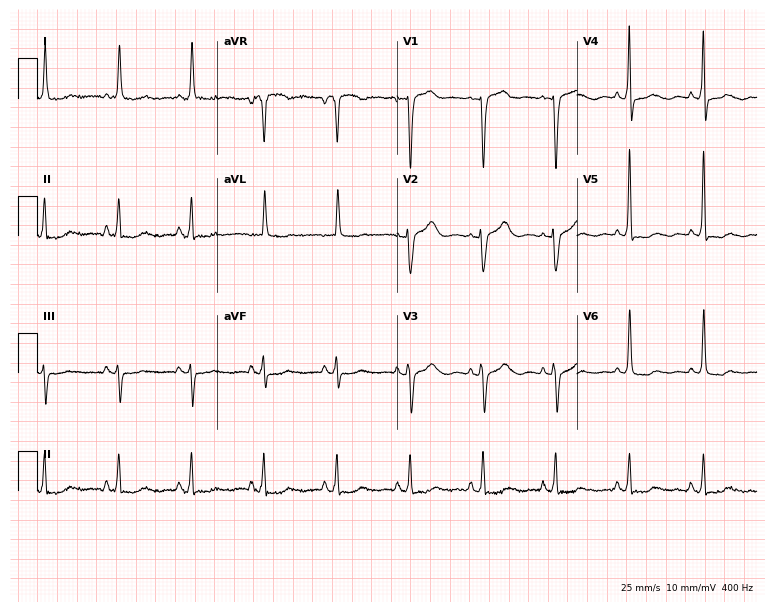
Standard 12-lead ECG recorded from a woman, 76 years old (7.3-second recording at 400 Hz). None of these six findings is recorded: first-degree AV block, right bundle branch block, left bundle branch block, sinus bradycardia, atrial fibrillation, sinus tachycardia.